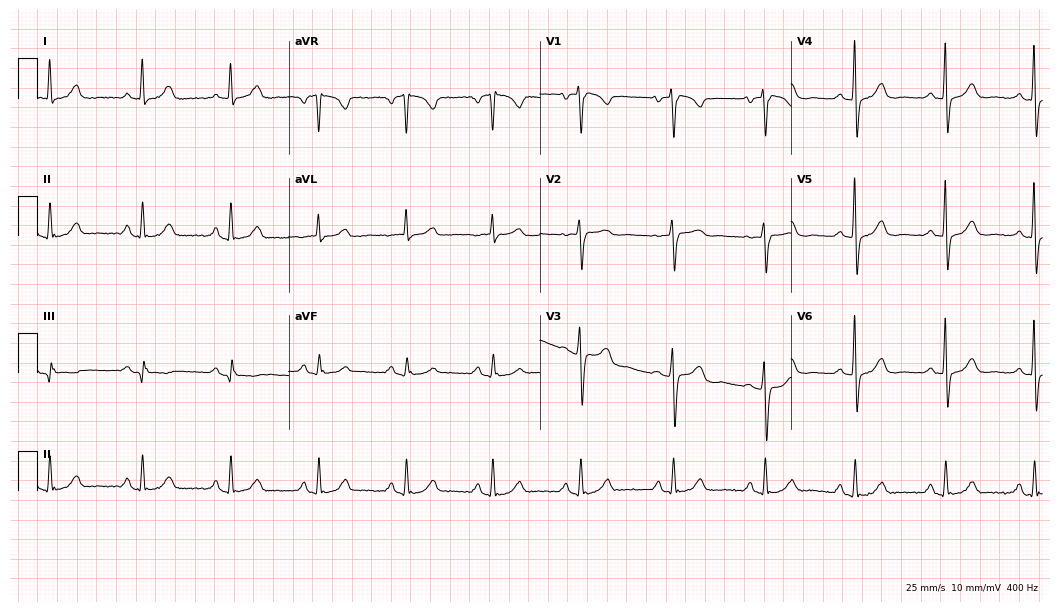
Electrocardiogram, a 62-year-old female patient. Of the six screened findings (first-degree AV block, right bundle branch block, left bundle branch block, sinus bradycardia, atrial fibrillation, sinus tachycardia), none is recorded.